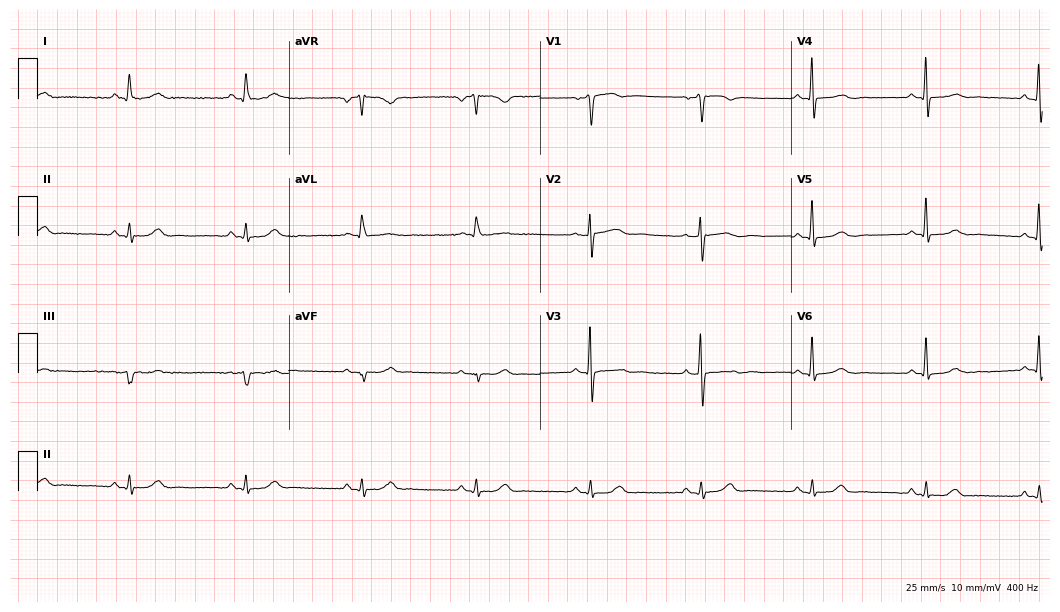
Resting 12-lead electrocardiogram (10.2-second recording at 400 Hz). Patient: a male, 67 years old. None of these six findings is recorded: first-degree AV block, right bundle branch block, left bundle branch block, sinus bradycardia, atrial fibrillation, sinus tachycardia. Findings outside these six are not listed.